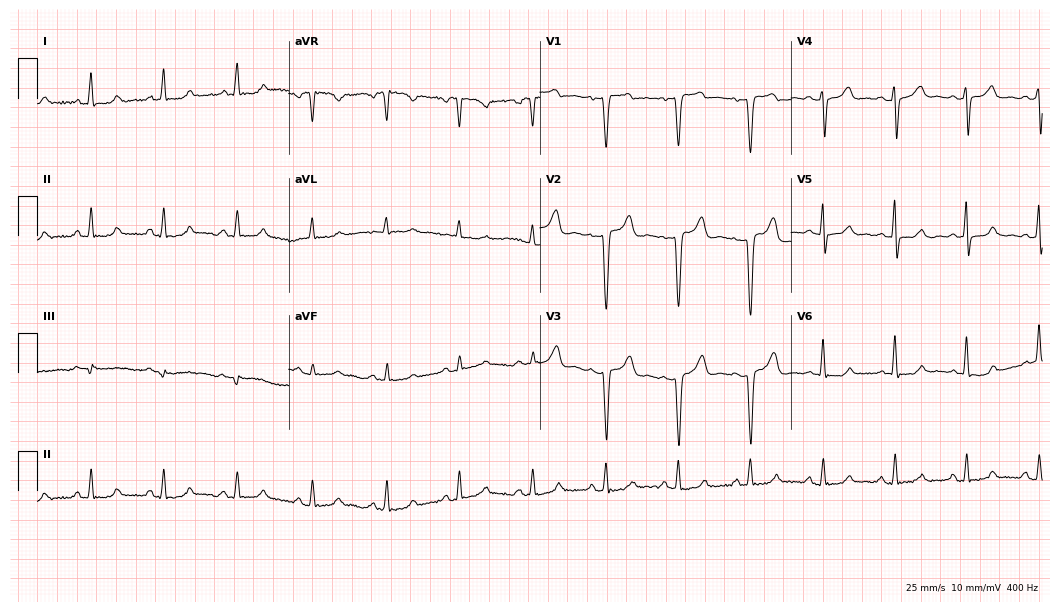
ECG (10.2-second recording at 400 Hz) — a 52-year-old female patient. Screened for six findings — first-degree AV block, right bundle branch block (RBBB), left bundle branch block (LBBB), sinus bradycardia, atrial fibrillation (AF), sinus tachycardia — none is recorded. Other findings, if any, are not listed.